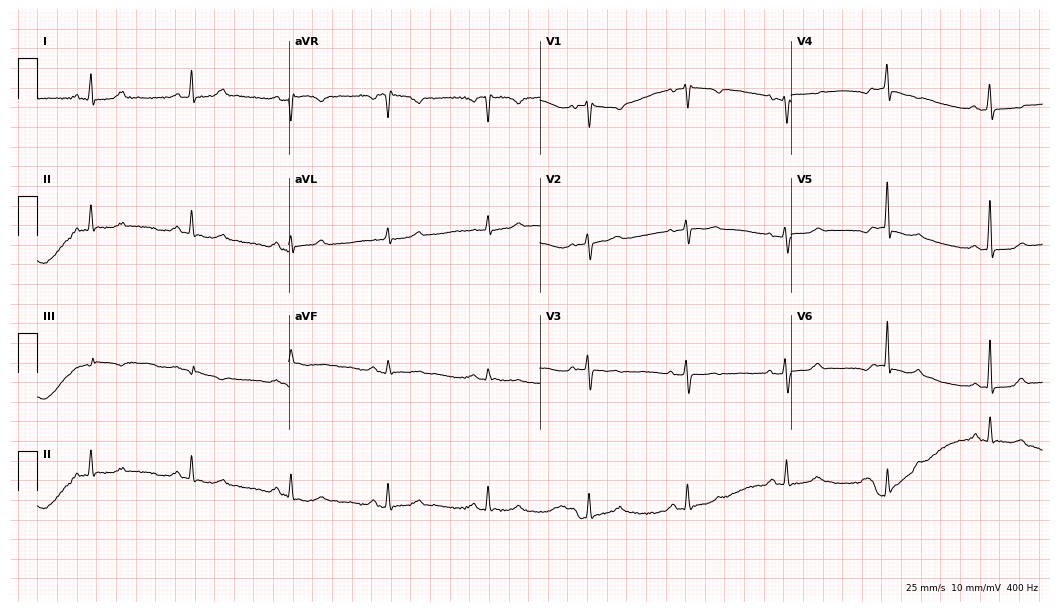
ECG — a female patient, 53 years old. Screened for six findings — first-degree AV block, right bundle branch block, left bundle branch block, sinus bradycardia, atrial fibrillation, sinus tachycardia — none is recorded. Findings outside these six are not listed.